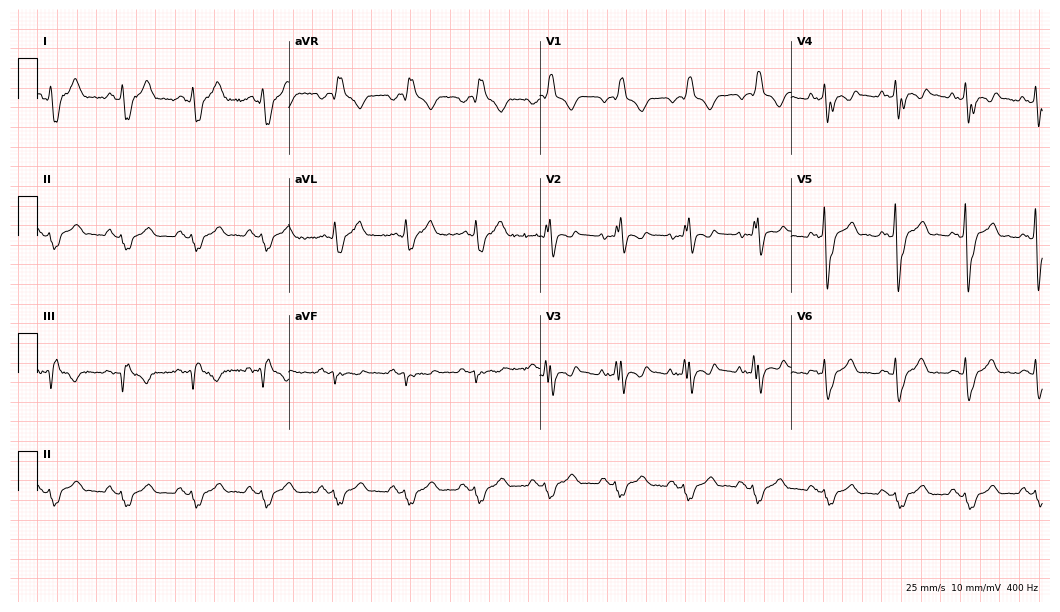
12-lead ECG from a 54-year-old male patient (10.2-second recording at 400 Hz). Shows right bundle branch block (RBBB).